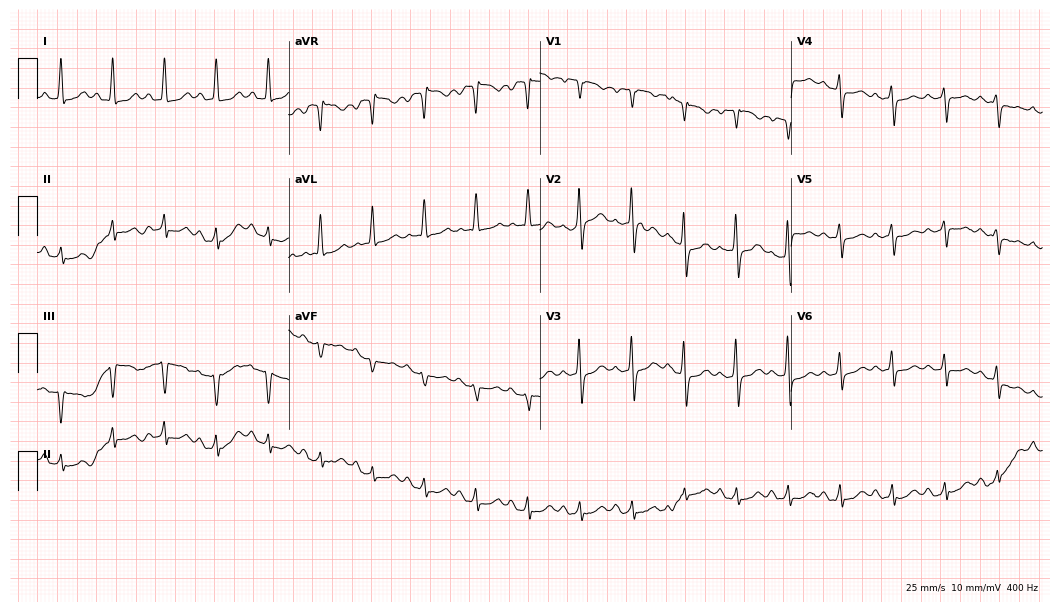
Electrocardiogram, a female patient, 67 years old. Interpretation includes sinus tachycardia (a sinus rate of 100 beats per minute or more).